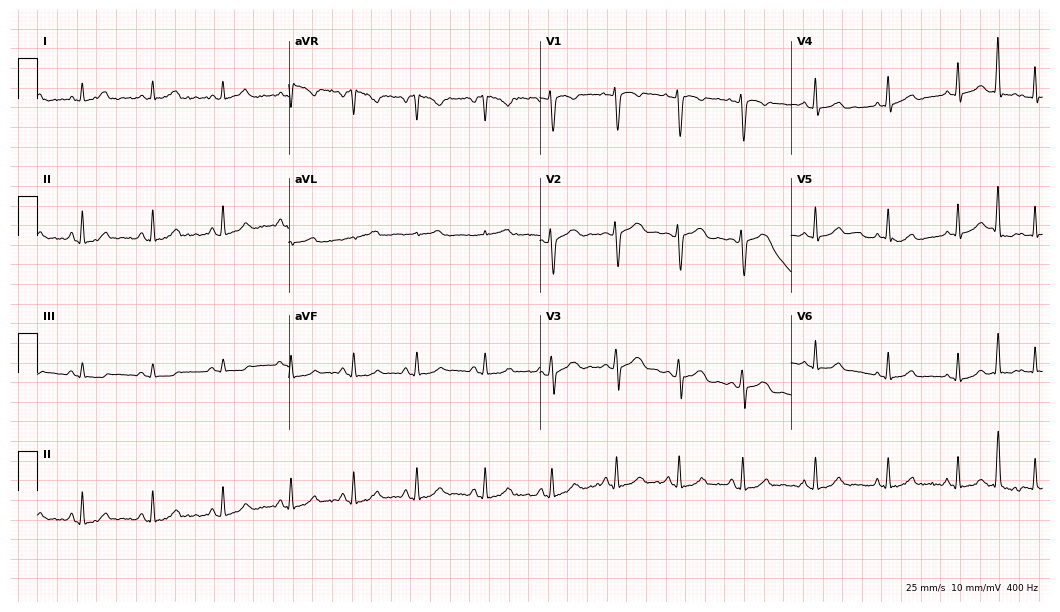
ECG — a woman, 25 years old. Screened for six findings — first-degree AV block, right bundle branch block, left bundle branch block, sinus bradycardia, atrial fibrillation, sinus tachycardia — none is recorded. Other findings, if any, are not listed.